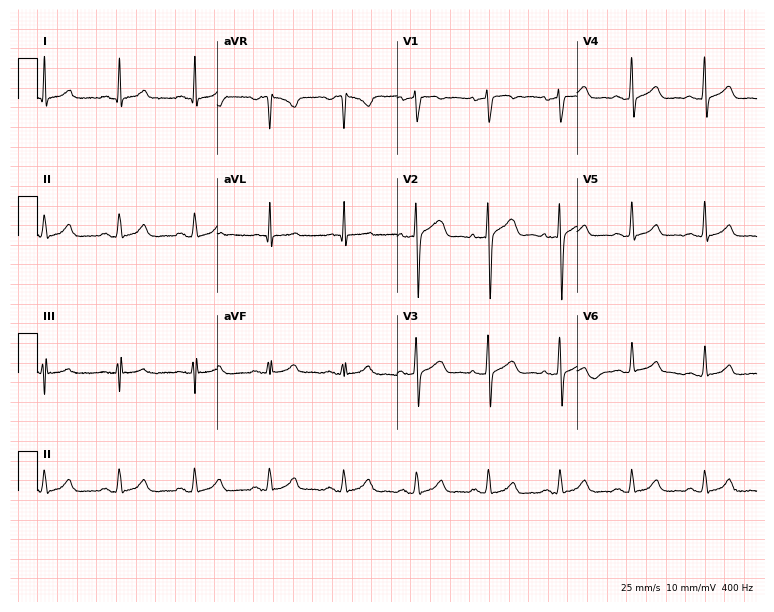
Standard 12-lead ECG recorded from a 39-year-old male. Read as a normal ECG.